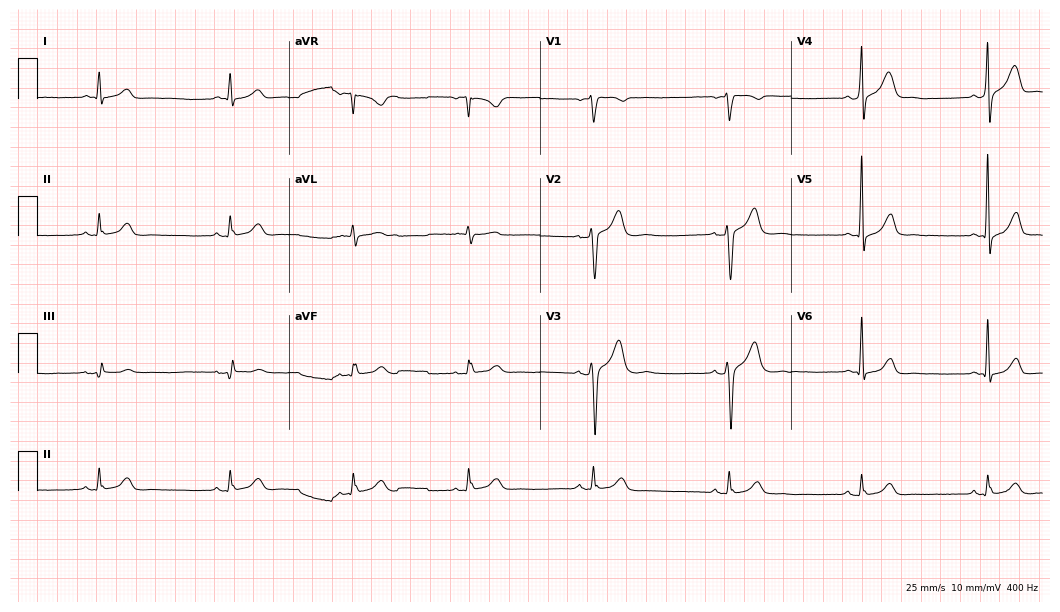
Electrocardiogram (10.2-second recording at 400 Hz), a male, 42 years old. Of the six screened findings (first-degree AV block, right bundle branch block (RBBB), left bundle branch block (LBBB), sinus bradycardia, atrial fibrillation (AF), sinus tachycardia), none is recorded.